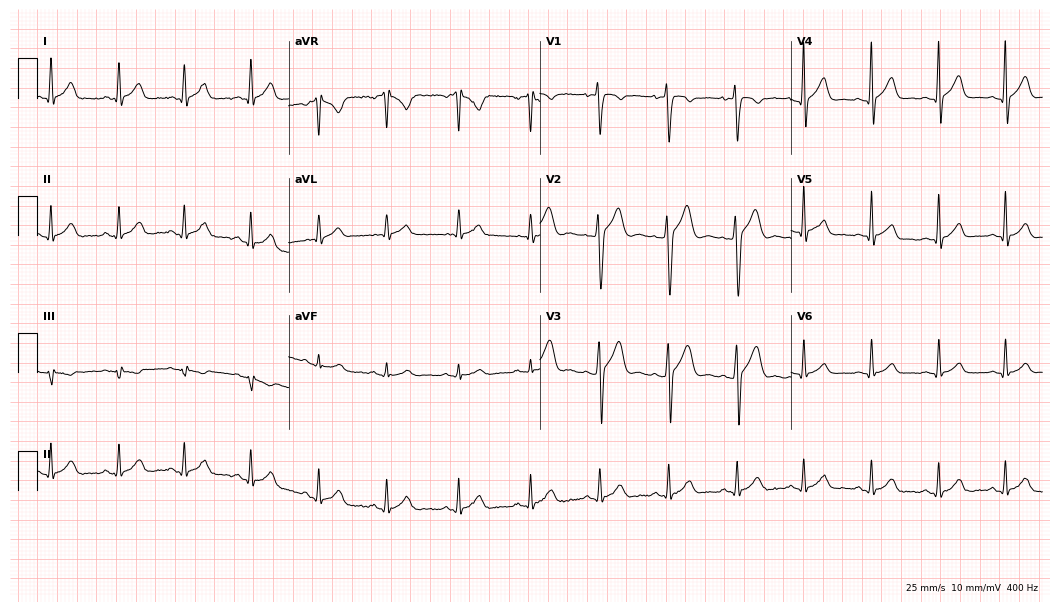
Electrocardiogram (10.2-second recording at 400 Hz), a 23-year-old male. Overall reading on record: normal ECG.